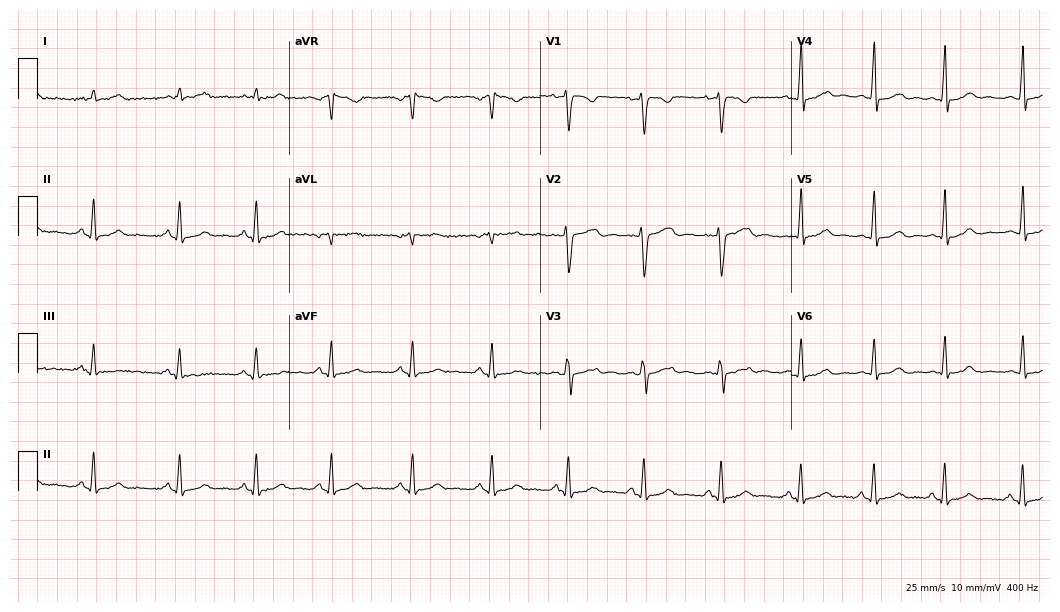
12-lead ECG (10.2-second recording at 400 Hz) from a female patient, 31 years old. Screened for six findings — first-degree AV block, right bundle branch block, left bundle branch block, sinus bradycardia, atrial fibrillation, sinus tachycardia — none is recorded. Findings outside these six are not listed.